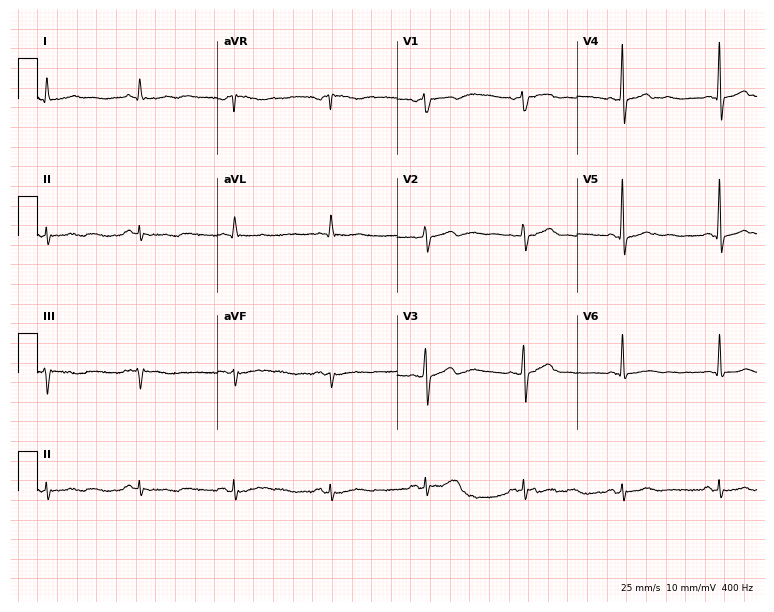
ECG (7.3-second recording at 400 Hz) — a man, 75 years old. Labelled as a normal ECG.